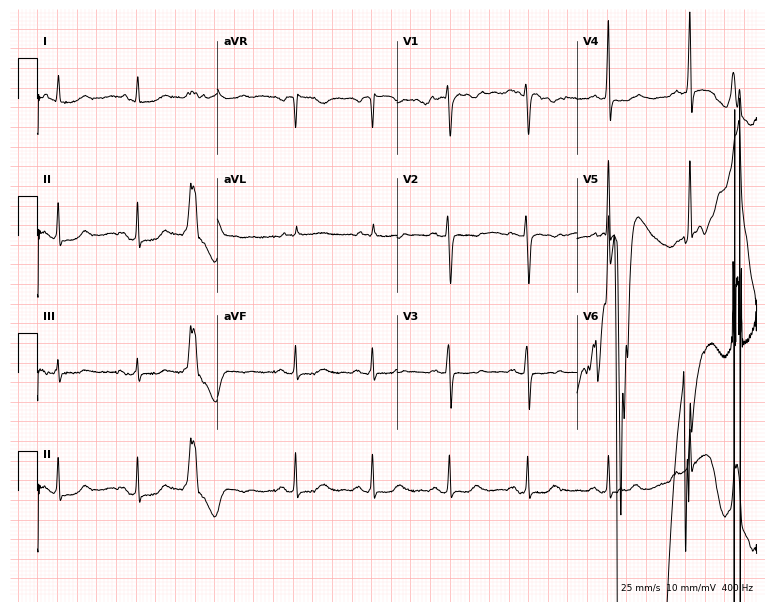
Electrocardiogram, a female, 79 years old. Of the six screened findings (first-degree AV block, right bundle branch block (RBBB), left bundle branch block (LBBB), sinus bradycardia, atrial fibrillation (AF), sinus tachycardia), none is recorded. Other findings, if any, are not listed.